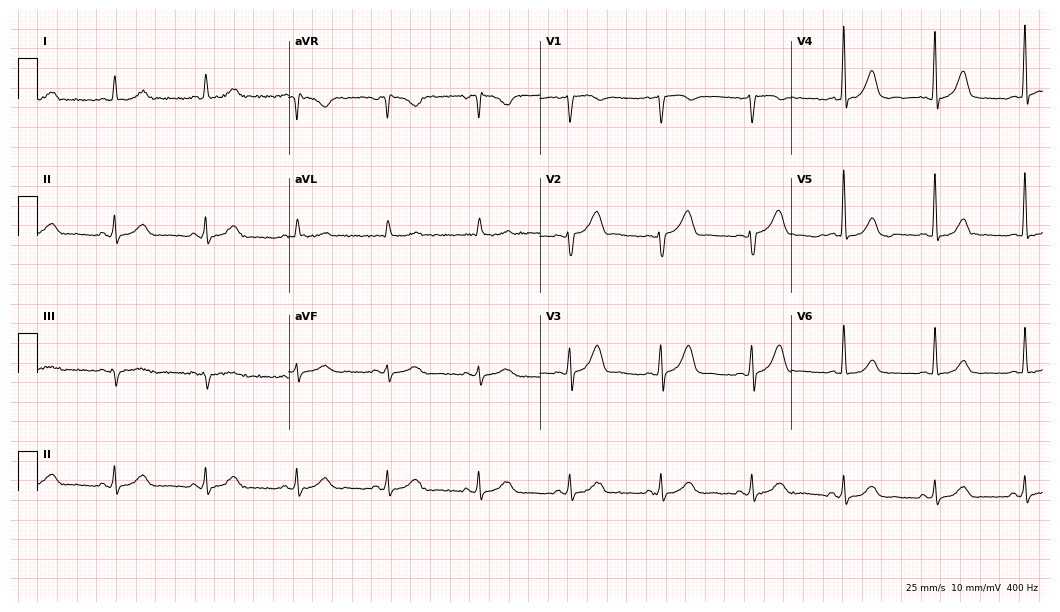
12-lead ECG from a 74-year-old male. No first-degree AV block, right bundle branch block (RBBB), left bundle branch block (LBBB), sinus bradycardia, atrial fibrillation (AF) or sinus tachycardia recorded for this tracing.